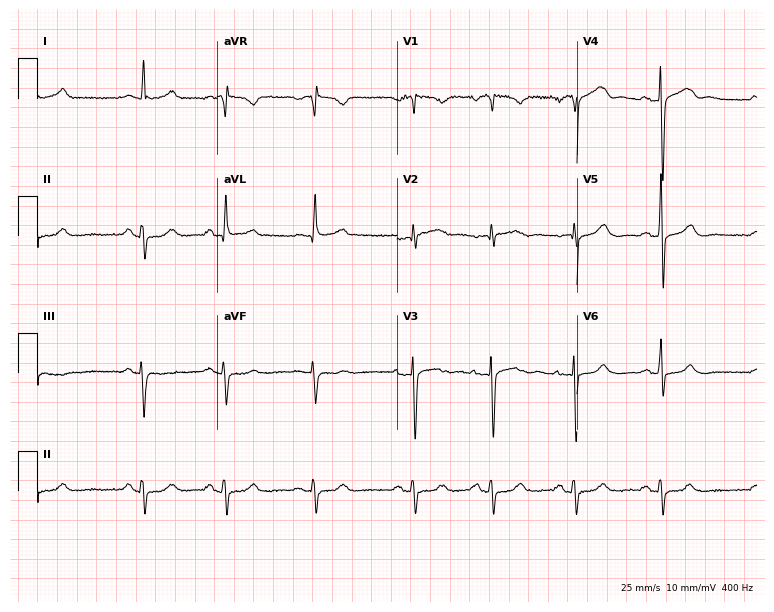
12-lead ECG (7.3-second recording at 400 Hz) from a female, 66 years old. Screened for six findings — first-degree AV block, right bundle branch block, left bundle branch block, sinus bradycardia, atrial fibrillation, sinus tachycardia — none is recorded. Only these six findings were labelled.